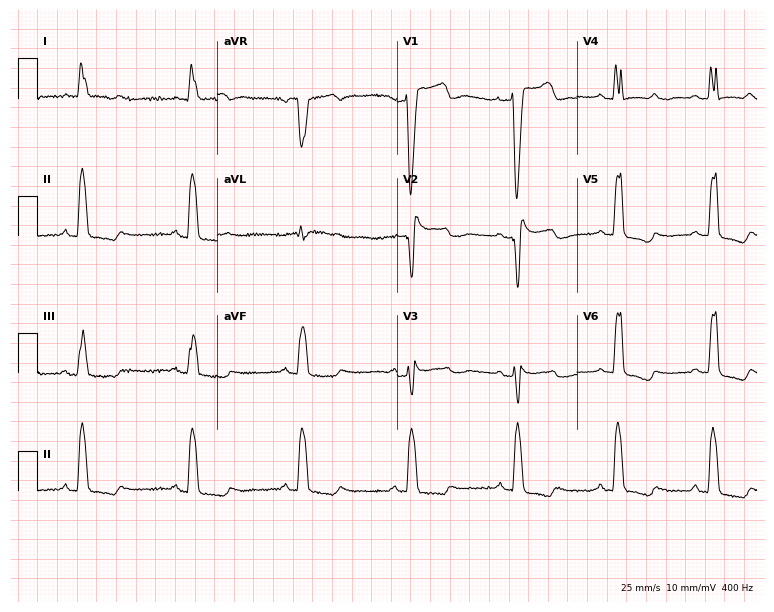
Resting 12-lead electrocardiogram. Patient: a female, 83 years old. The tracing shows left bundle branch block.